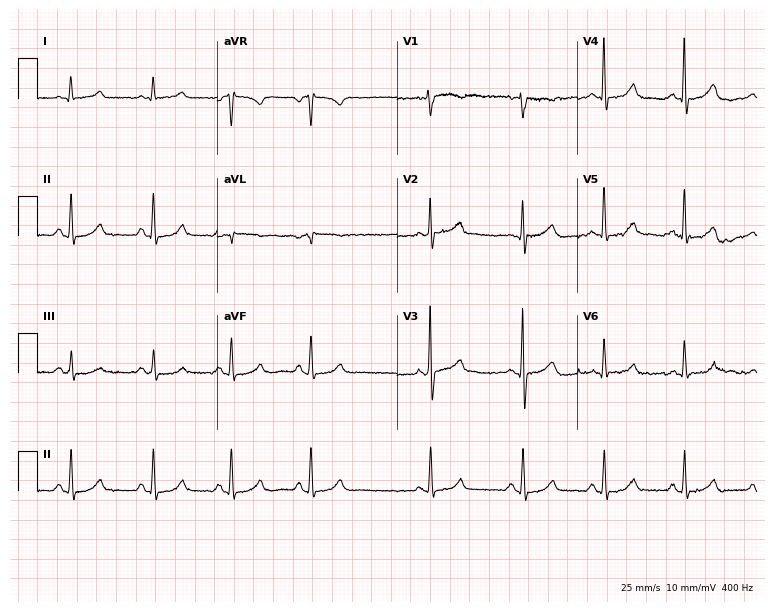
ECG (7.3-second recording at 400 Hz) — a 54-year-old female. Labelled as a normal ECG.